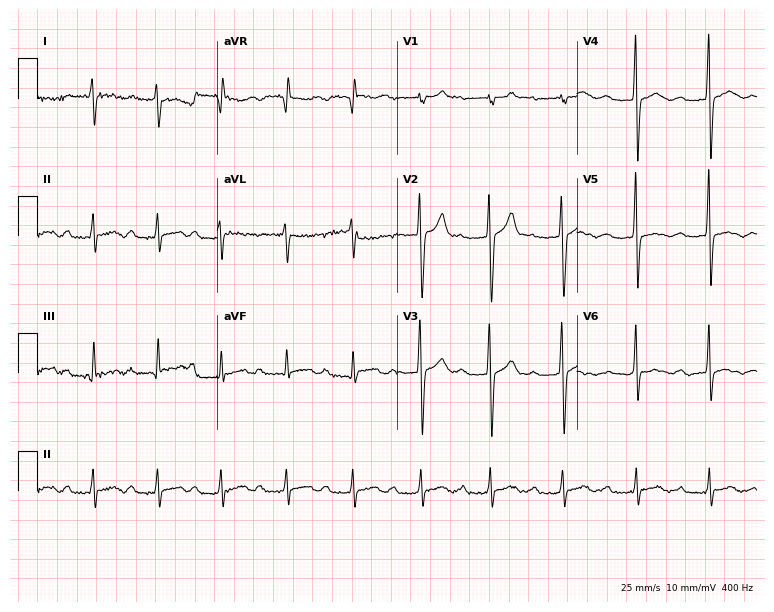
12-lead ECG from a male, 24 years old. Findings include first-degree AV block.